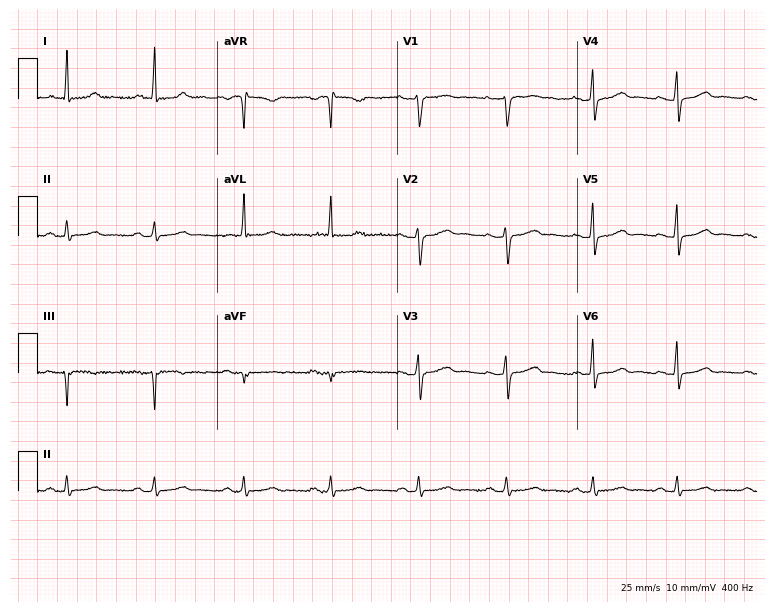
ECG — a female patient, 52 years old. Screened for six findings — first-degree AV block, right bundle branch block, left bundle branch block, sinus bradycardia, atrial fibrillation, sinus tachycardia — none is recorded.